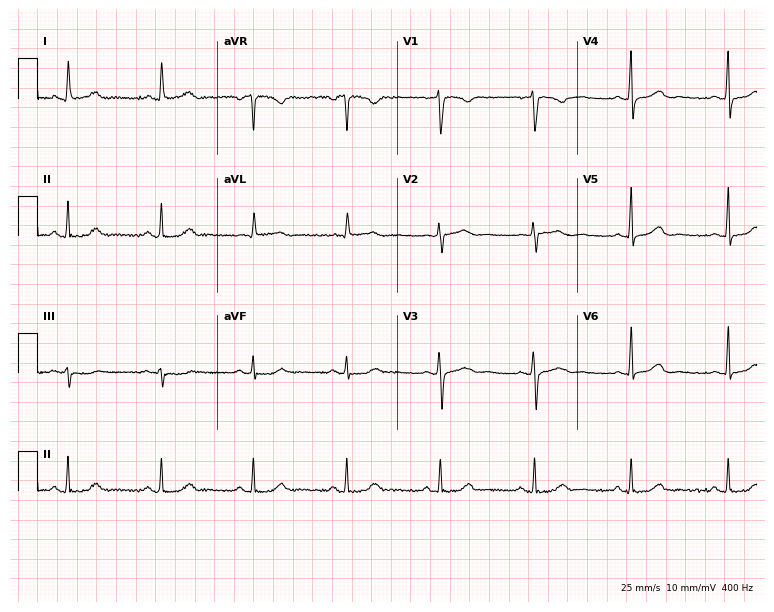
12-lead ECG (7.3-second recording at 400 Hz) from a woman, 44 years old. Screened for six findings — first-degree AV block, right bundle branch block, left bundle branch block, sinus bradycardia, atrial fibrillation, sinus tachycardia — none is recorded.